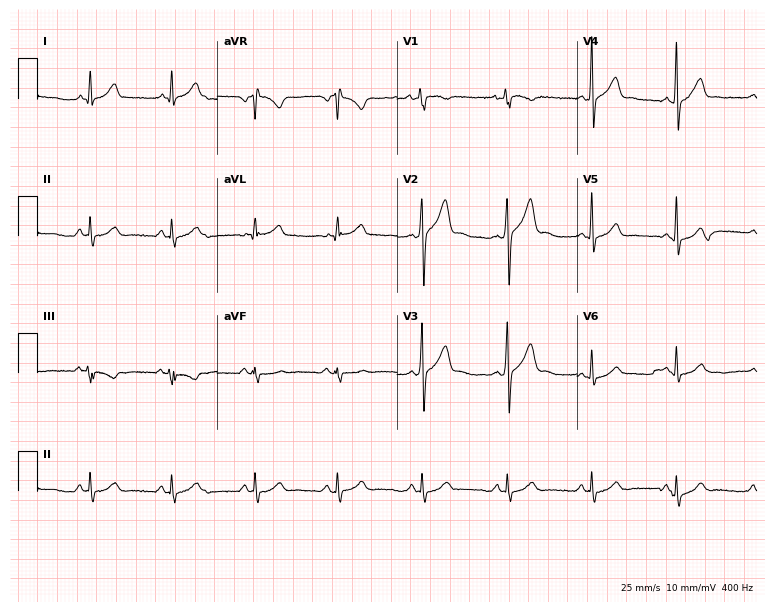
ECG (7.3-second recording at 400 Hz) — a 32-year-old male patient. Screened for six findings — first-degree AV block, right bundle branch block, left bundle branch block, sinus bradycardia, atrial fibrillation, sinus tachycardia — none is recorded.